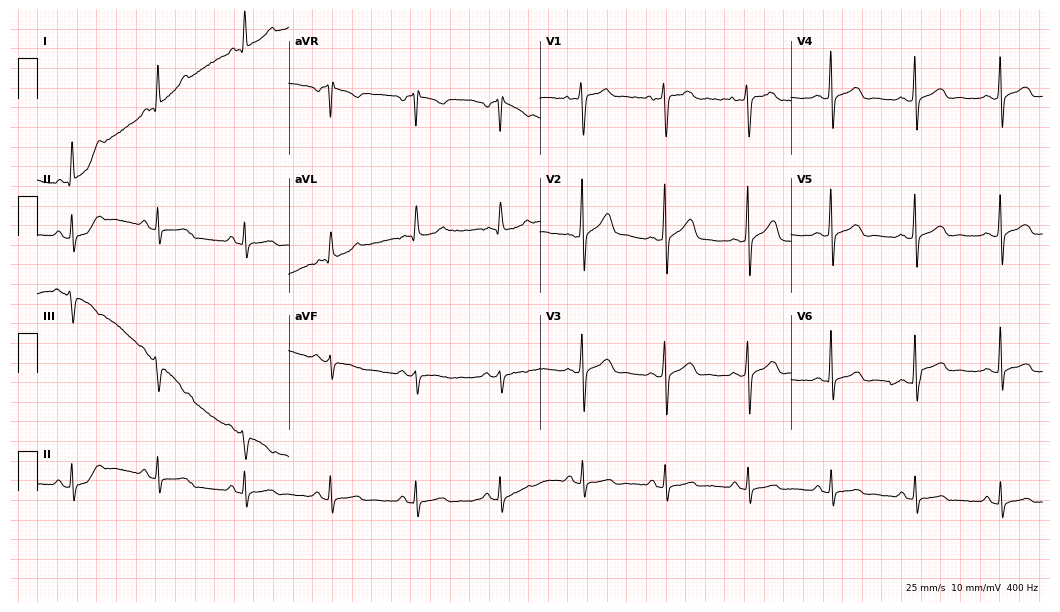
ECG (10.2-second recording at 400 Hz) — a male patient, 41 years old. Labelled as a normal ECG.